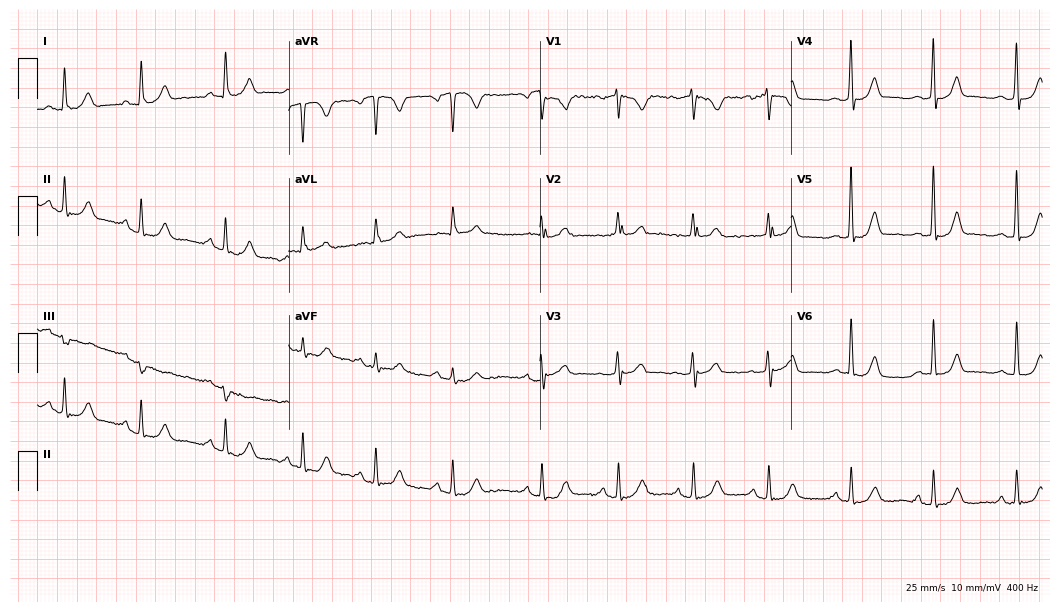
12-lead ECG (10.2-second recording at 400 Hz) from a woman, 63 years old. Labelled as a normal ECG.